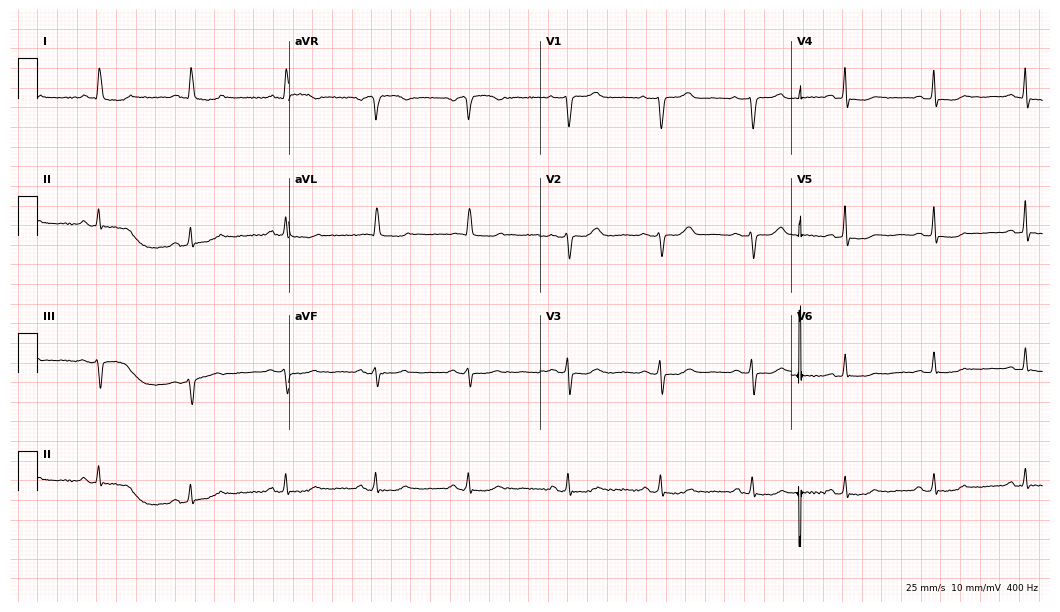
Electrocardiogram, a 60-year-old female. Of the six screened findings (first-degree AV block, right bundle branch block (RBBB), left bundle branch block (LBBB), sinus bradycardia, atrial fibrillation (AF), sinus tachycardia), none is recorded.